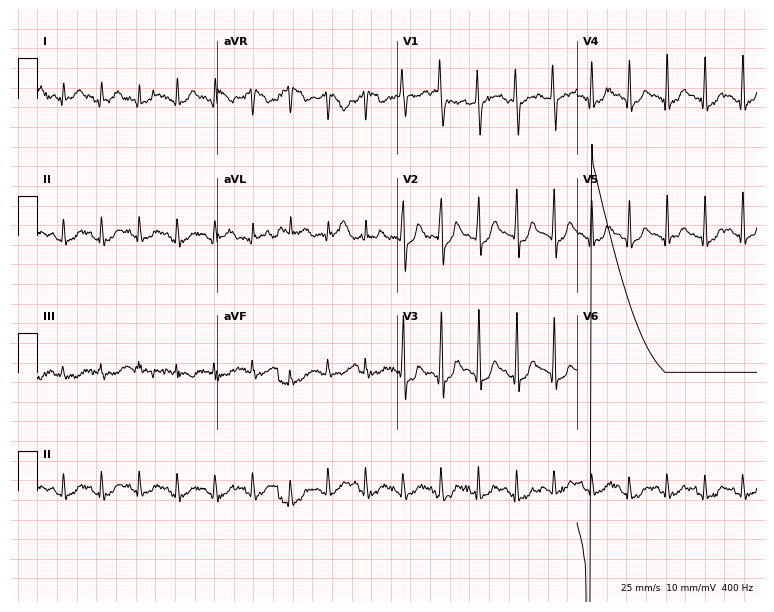
Standard 12-lead ECG recorded from an 18-year-old woman (7.3-second recording at 400 Hz). The tracing shows sinus tachycardia (a sinus rate of 100 beats per minute or more).